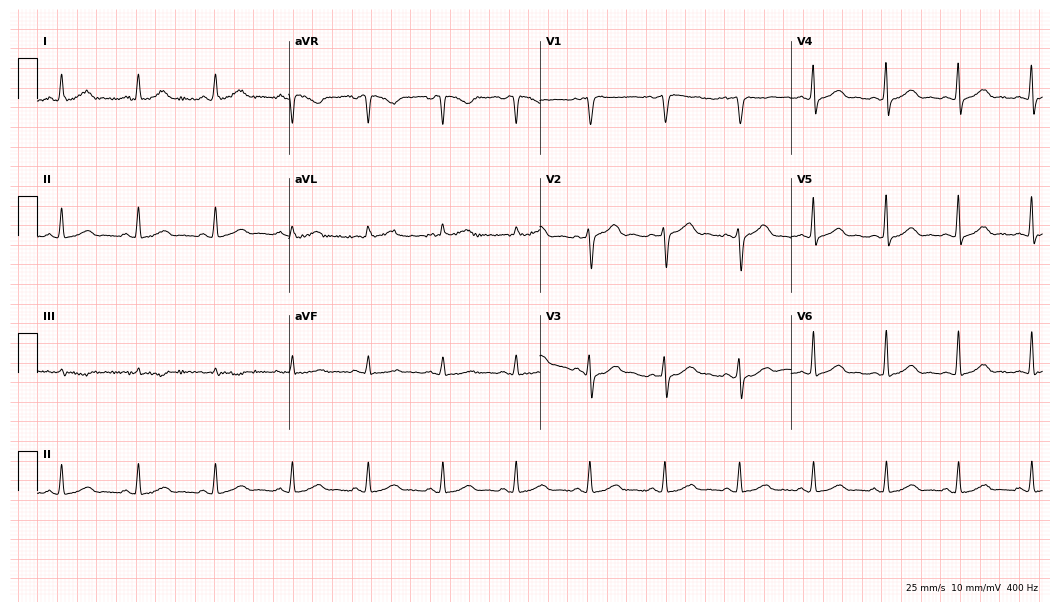
Resting 12-lead electrocardiogram (10.2-second recording at 400 Hz). Patient: a 49-year-old female. Read as a normal ECG.